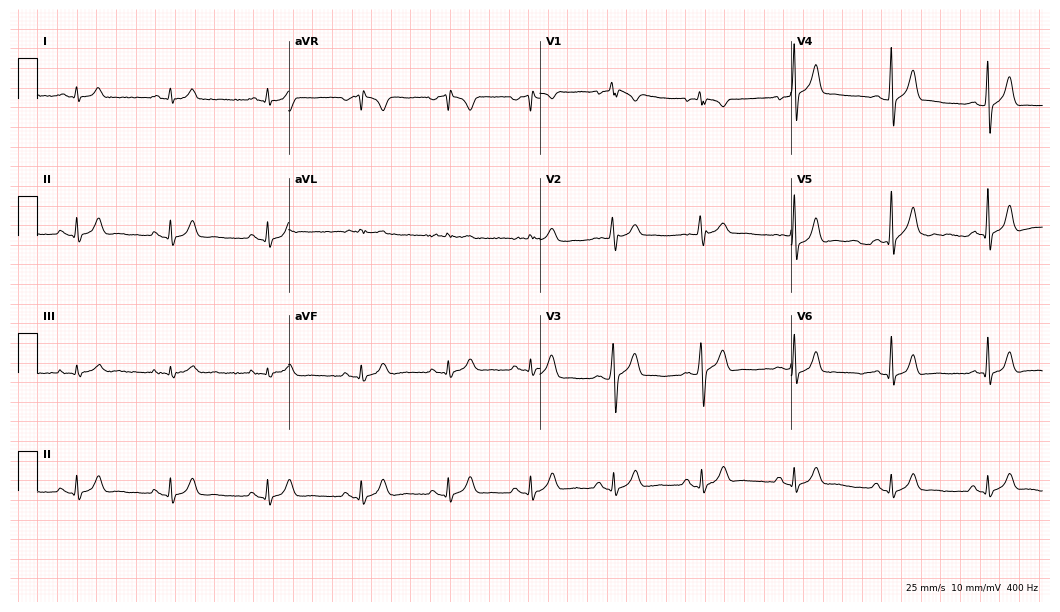
Standard 12-lead ECG recorded from a male, 32 years old (10.2-second recording at 400 Hz). Read as a normal ECG.